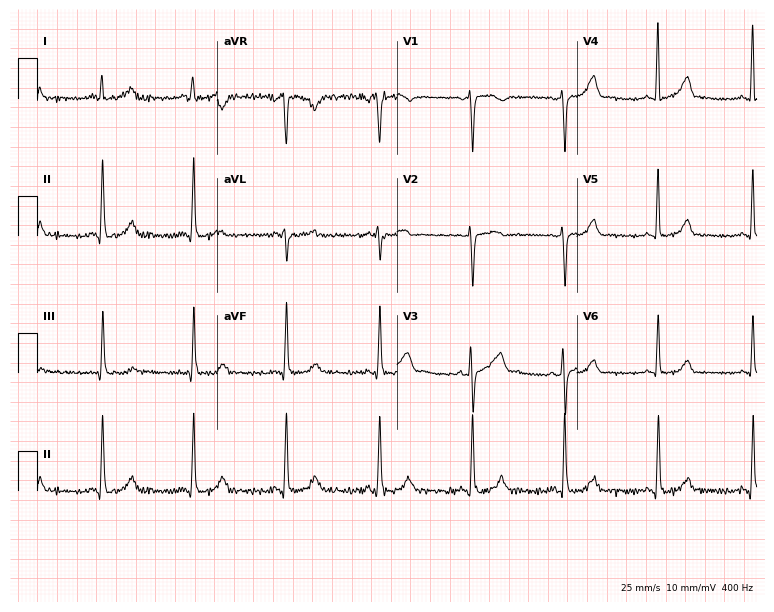
ECG — a woman, 42 years old. Labelled as a normal ECG.